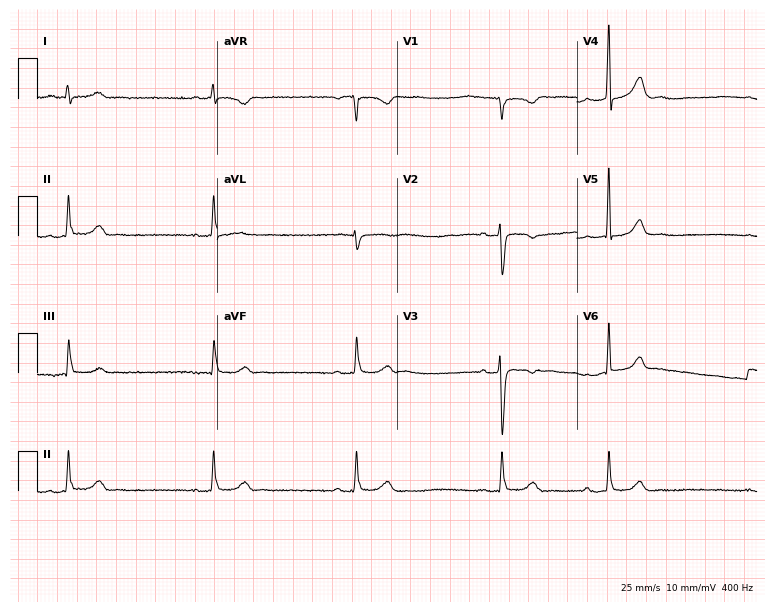
Electrocardiogram, a female patient, 40 years old. Of the six screened findings (first-degree AV block, right bundle branch block, left bundle branch block, sinus bradycardia, atrial fibrillation, sinus tachycardia), none is recorded.